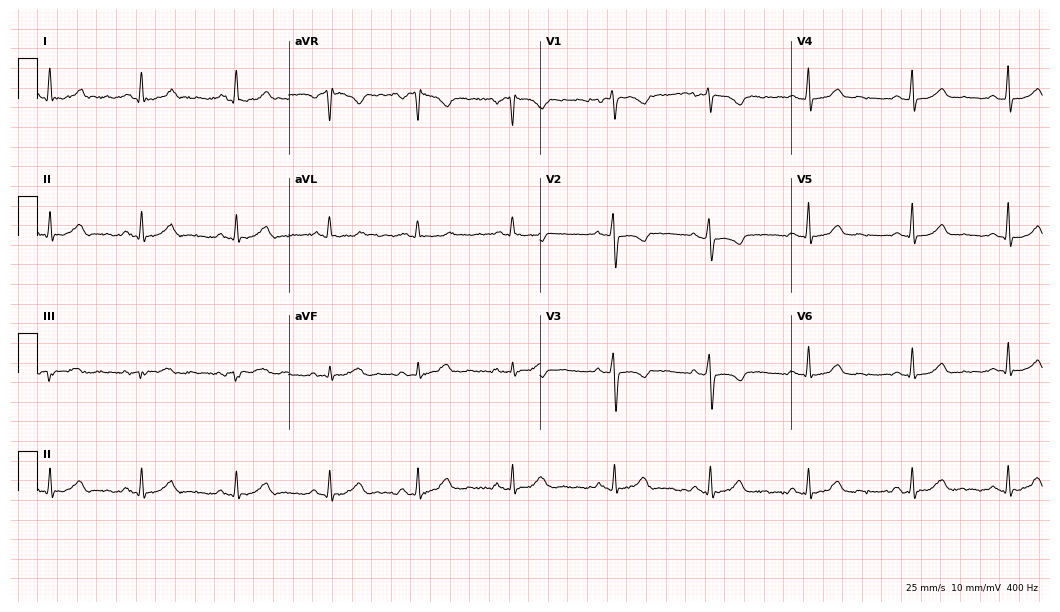
12-lead ECG (10.2-second recording at 400 Hz) from a female, 48 years old. Screened for six findings — first-degree AV block, right bundle branch block, left bundle branch block, sinus bradycardia, atrial fibrillation, sinus tachycardia — none is recorded. Findings outside these six are not listed.